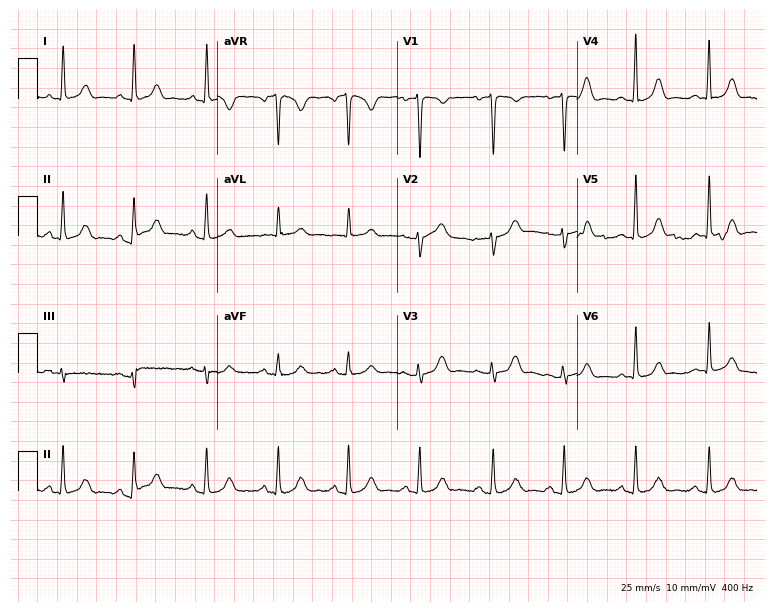
12-lead ECG from a 50-year-old female (7.3-second recording at 400 Hz). Recorded interpretation: within normal limits.